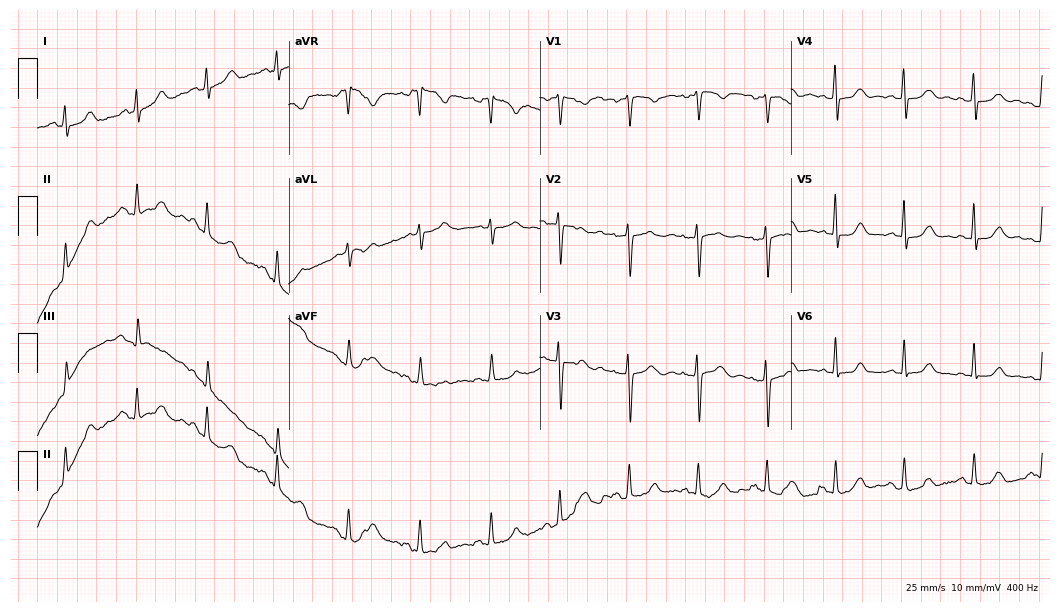
Resting 12-lead electrocardiogram (10.2-second recording at 400 Hz). Patient: a female, 38 years old. Read as a normal ECG.